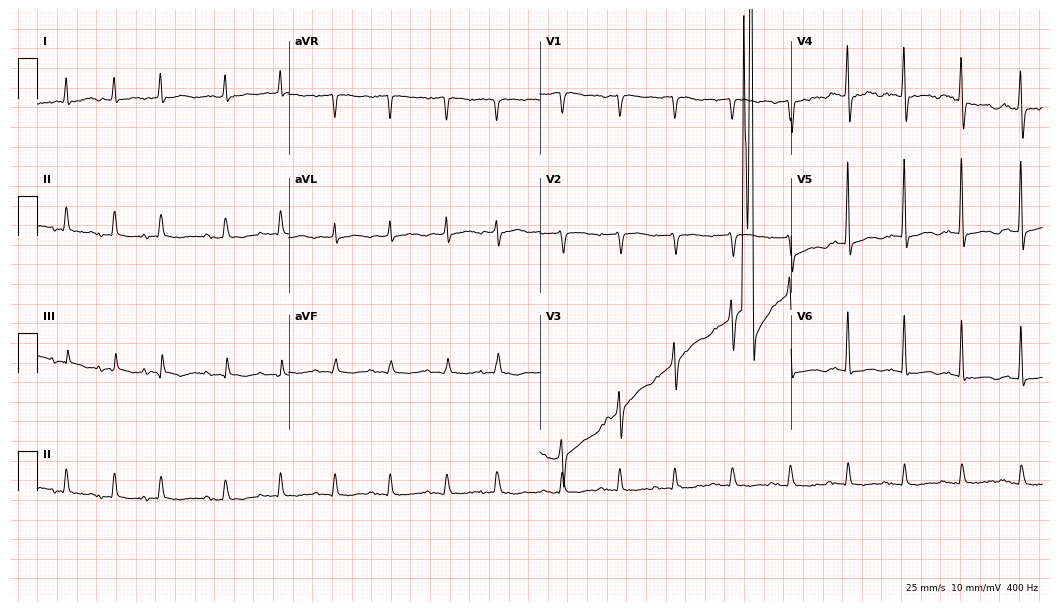
ECG (10.2-second recording at 400 Hz) — a 73-year-old female patient. Labelled as a normal ECG.